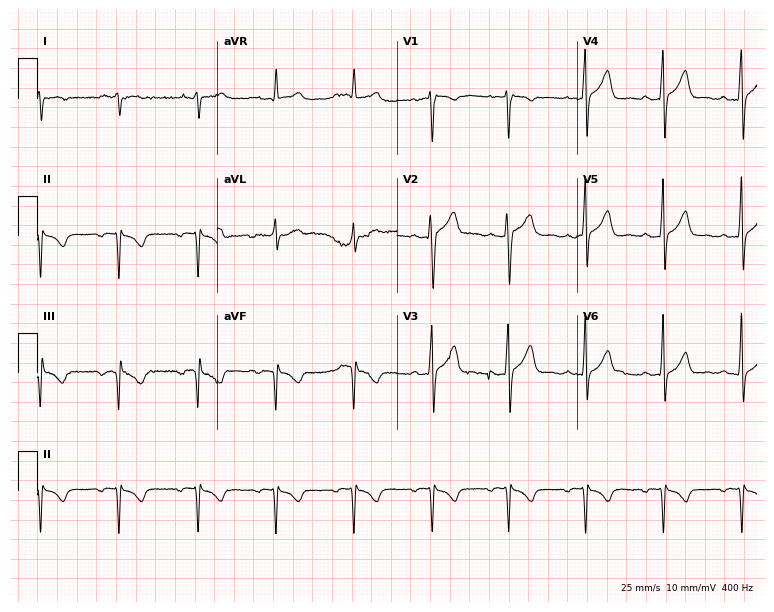
12-lead ECG (7.3-second recording at 400 Hz) from a 39-year-old male patient. Screened for six findings — first-degree AV block, right bundle branch block, left bundle branch block, sinus bradycardia, atrial fibrillation, sinus tachycardia — none is recorded.